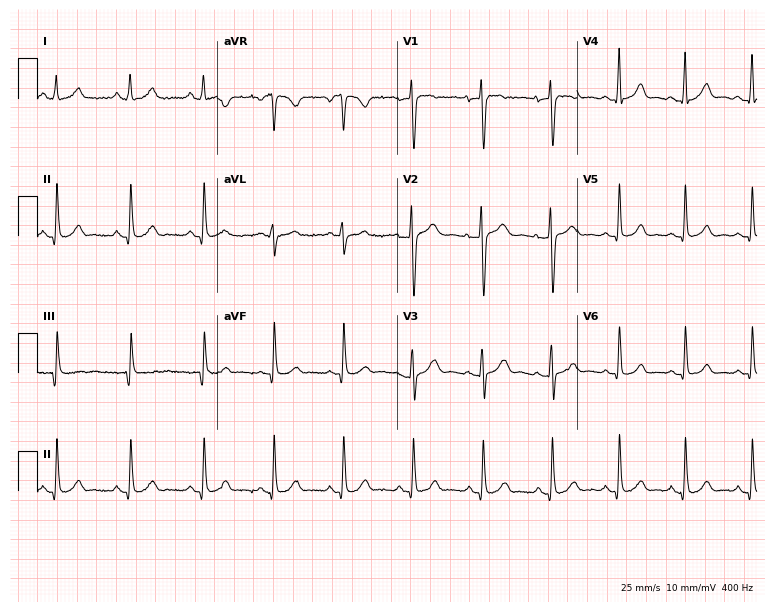
Standard 12-lead ECG recorded from a woman, 26 years old. Read as a normal ECG.